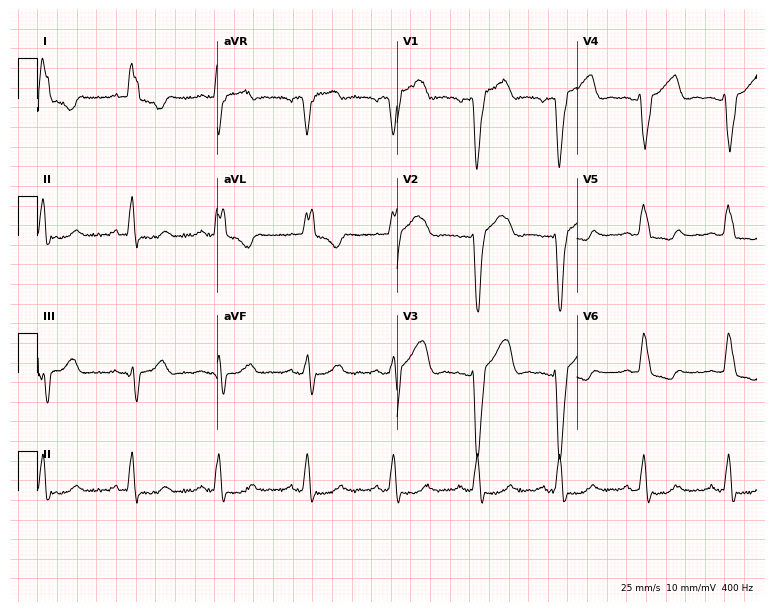
Electrocardiogram, a 60-year-old male patient. Interpretation includes left bundle branch block.